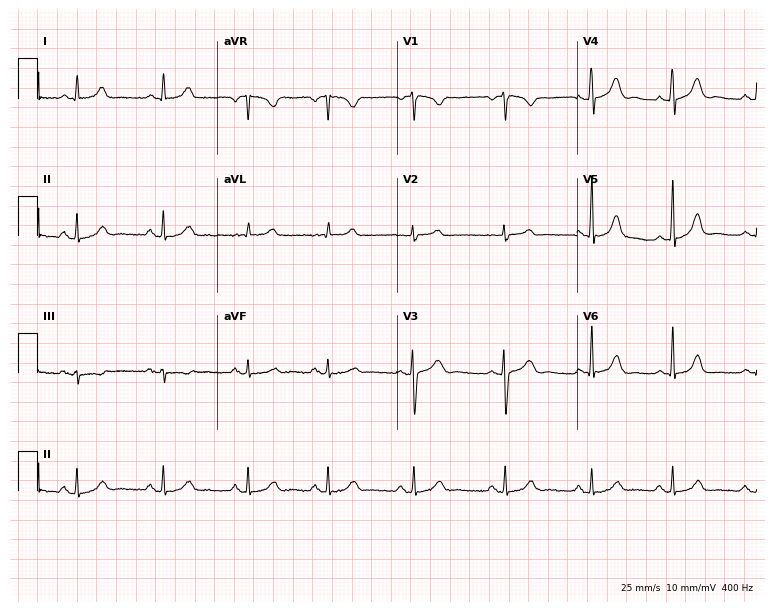
Standard 12-lead ECG recorded from a female, 32 years old. Read as a normal ECG.